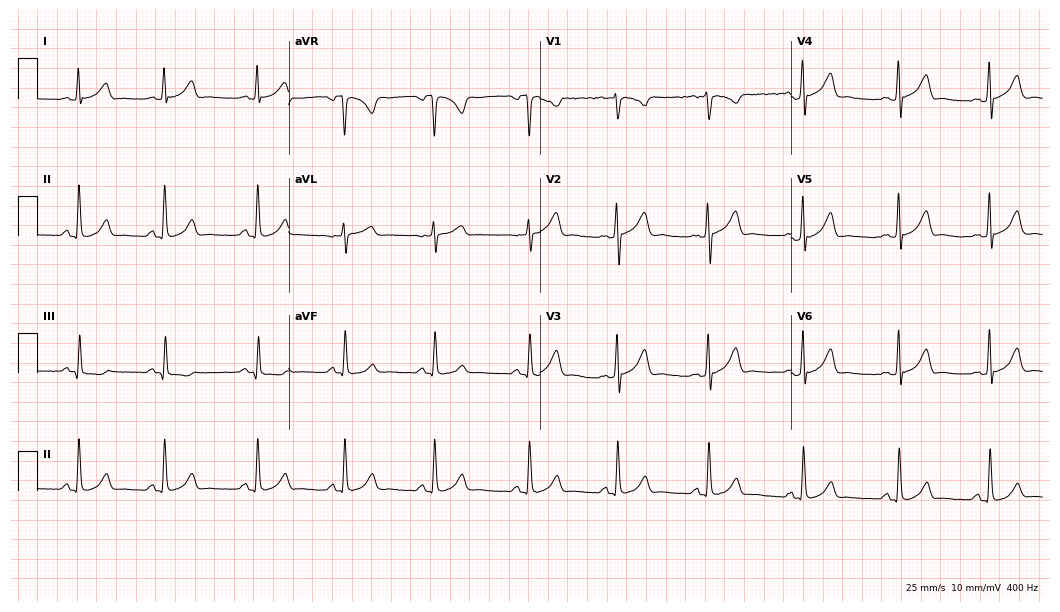
Electrocardiogram (10.2-second recording at 400 Hz), a female patient, 22 years old. Overall reading on record: normal ECG.